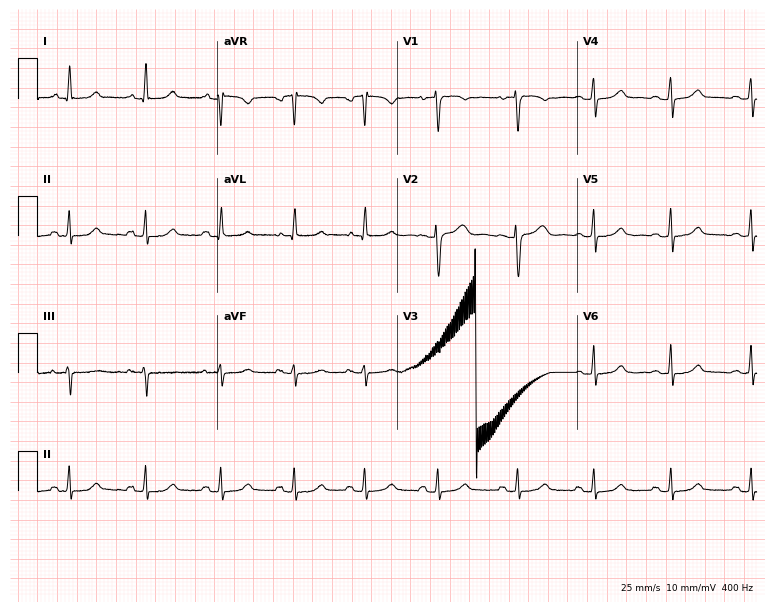
12-lead ECG from a woman, 41 years old. Recorded interpretation: within normal limits.